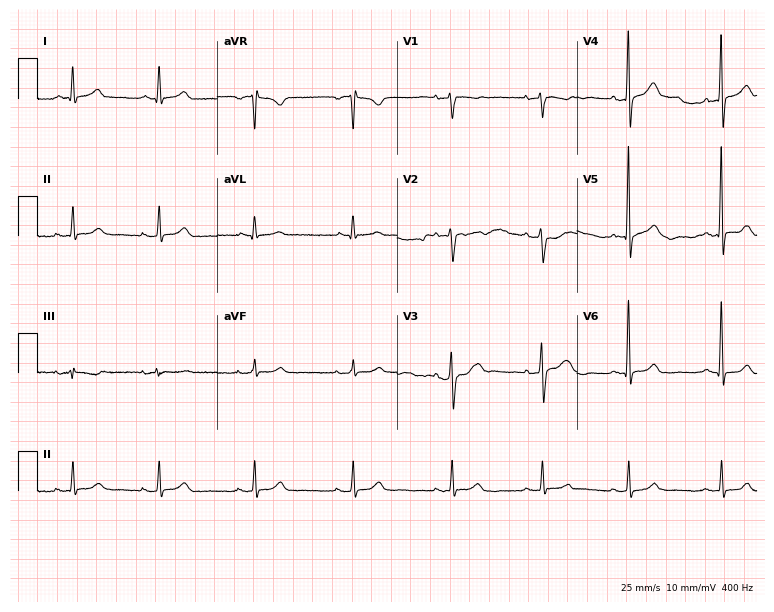
ECG (7.3-second recording at 400 Hz) — a female, 55 years old. Labelled as a normal ECG.